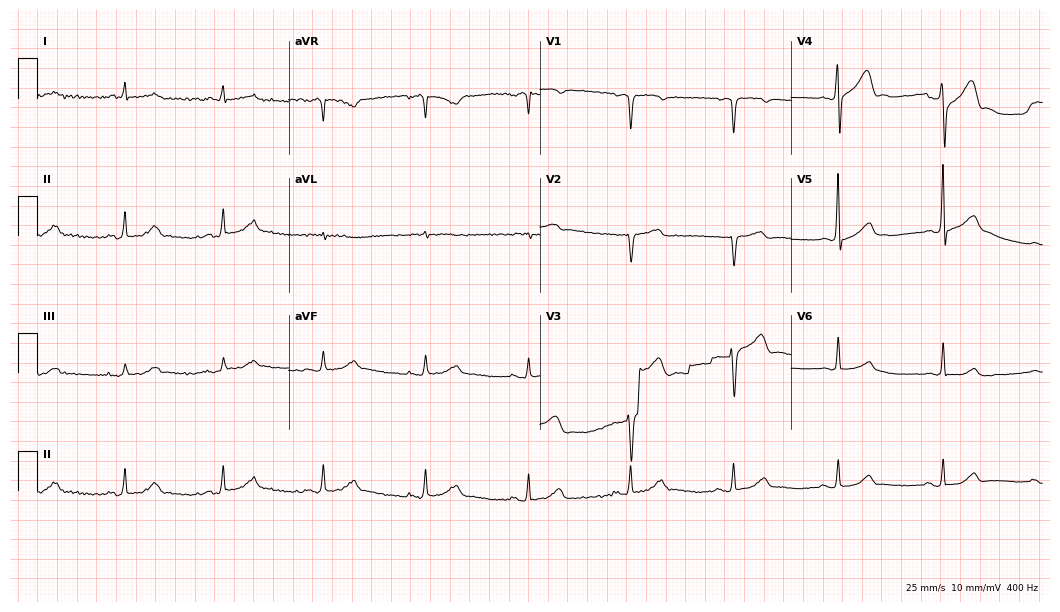
Standard 12-lead ECG recorded from a male, 72 years old (10.2-second recording at 400 Hz). None of these six findings is recorded: first-degree AV block, right bundle branch block (RBBB), left bundle branch block (LBBB), sinus bradycardia, atrial fibrillation (AF), sinus tachycardia.